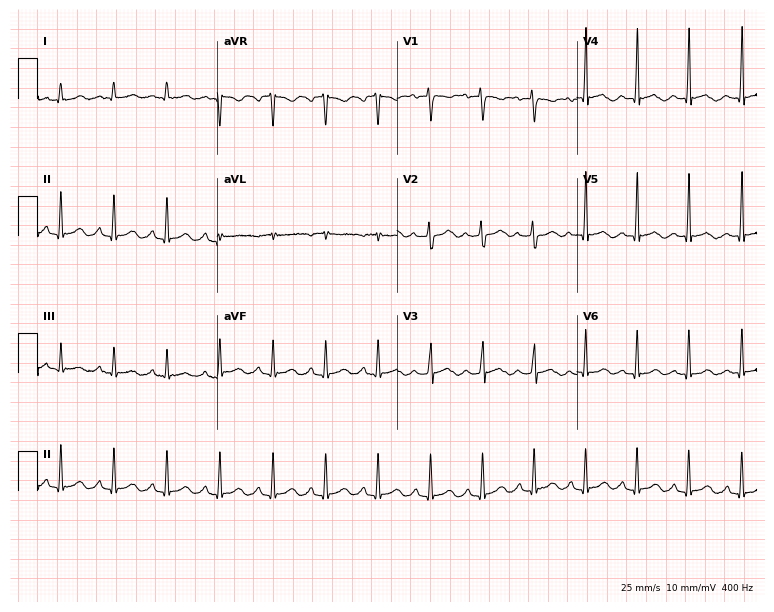
ECG (7.3-second recording at 400 Hz) — a woman, 25 years old. Findings include sinus tachycardia (a sinus rate of 100 beats per minute or more).